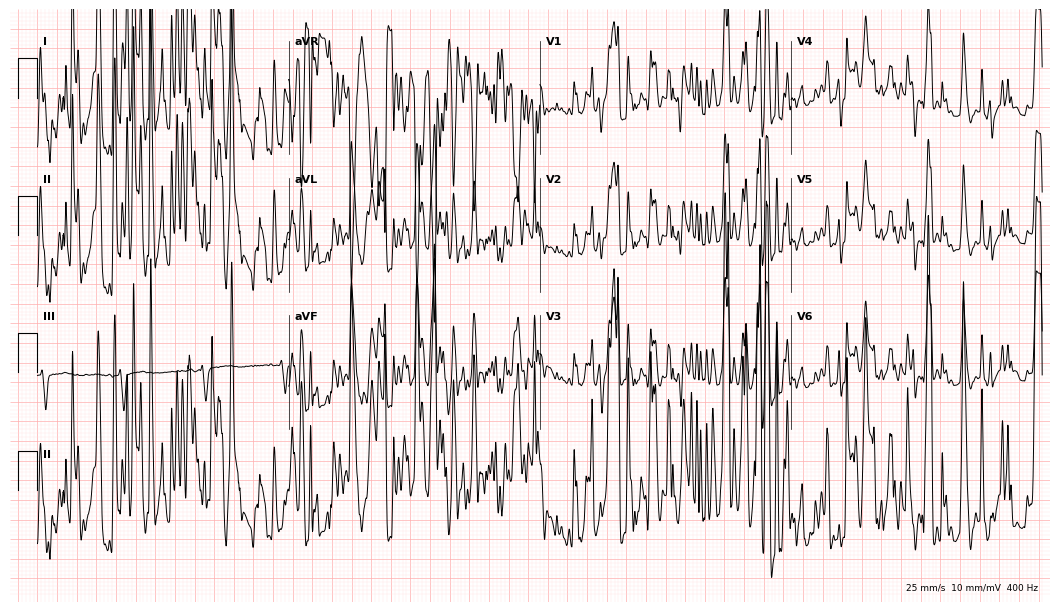
12-lead ECG from a 33-year-old female (10.2-second recording at 400 Hz). No first-degree AV block, right bundle branch block (RBBB), left bundle branch block (LBBB), sinus bradycardia, atrial fibrillation (AF) or sinus tachycardia recorded for this tracing. Findings outside these six are not listed.